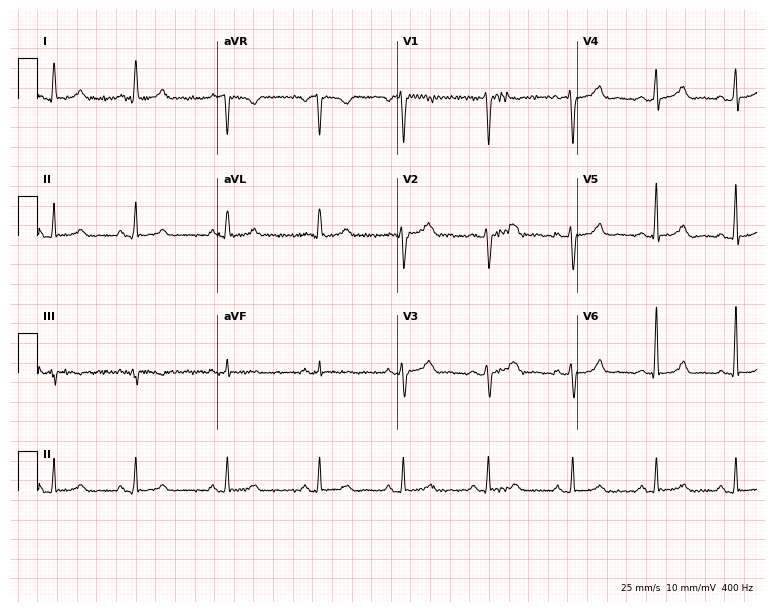
Standard 12-lead ECG recorded from a 38-year-old female (7.3-second recording at 400 Hz). Read as a normal ECG.